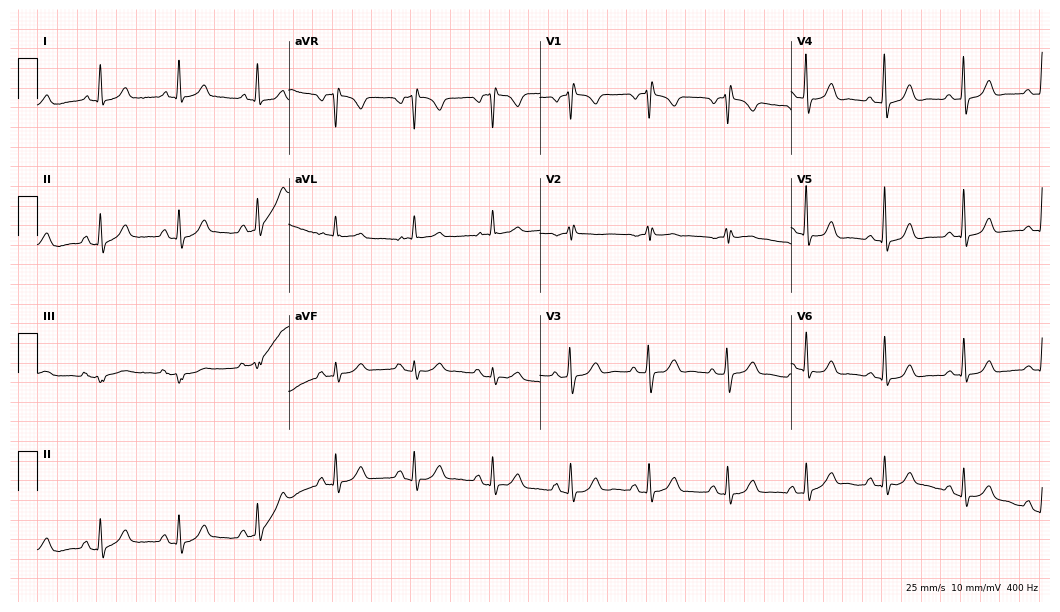
Standard 12-lead ECG recorded from a female patient, 78 years old (10.2-second recording at 400 Hz). None of these six findings is recorded: first-degree AV block, right bundle branch block, left bundle branch block, sinus bradycardia, atrial fibrillation, sinus tachycardia.